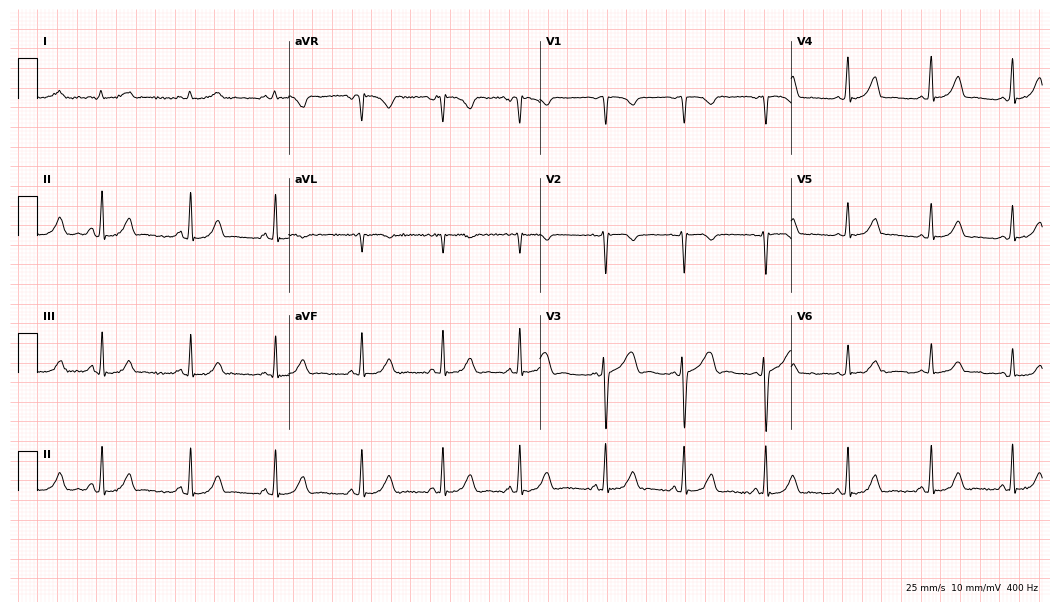
ECG — a female patient, 21 years old. Labelled as a normal ECG.